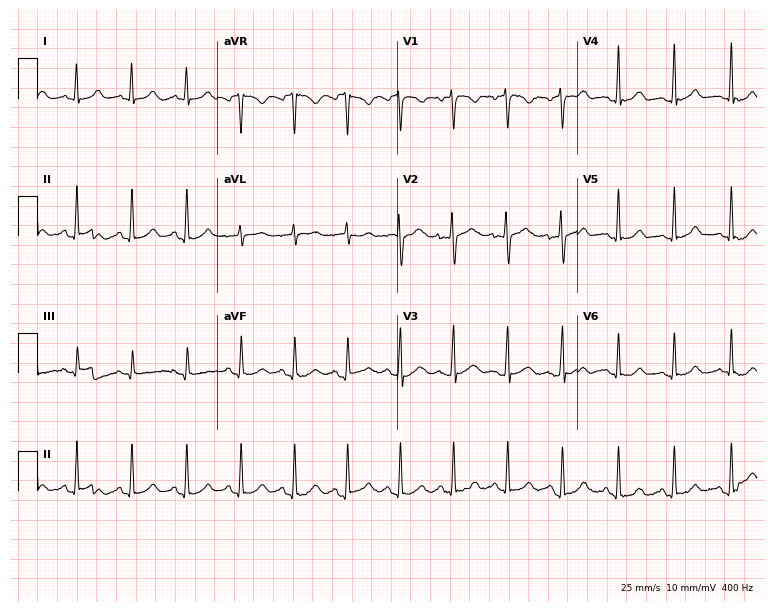
Resting 12-lead electrocardiogram (7.3-second recording at 400 Hz). Patient: a female, 33 years old. The tracing shows sinus tachycardia (a sinus rate of 100 beats per minute or more).